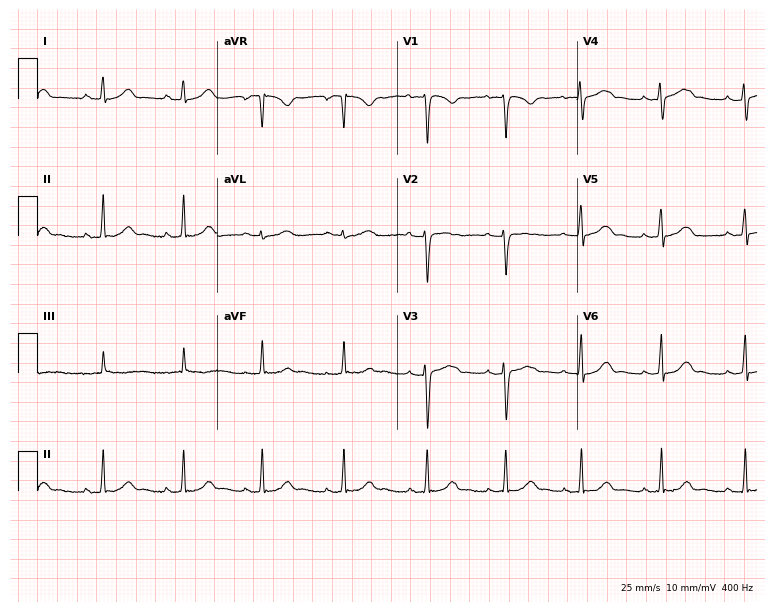
12-lead ECG from a 19-year-old woman. Labelled as a normal ECG.